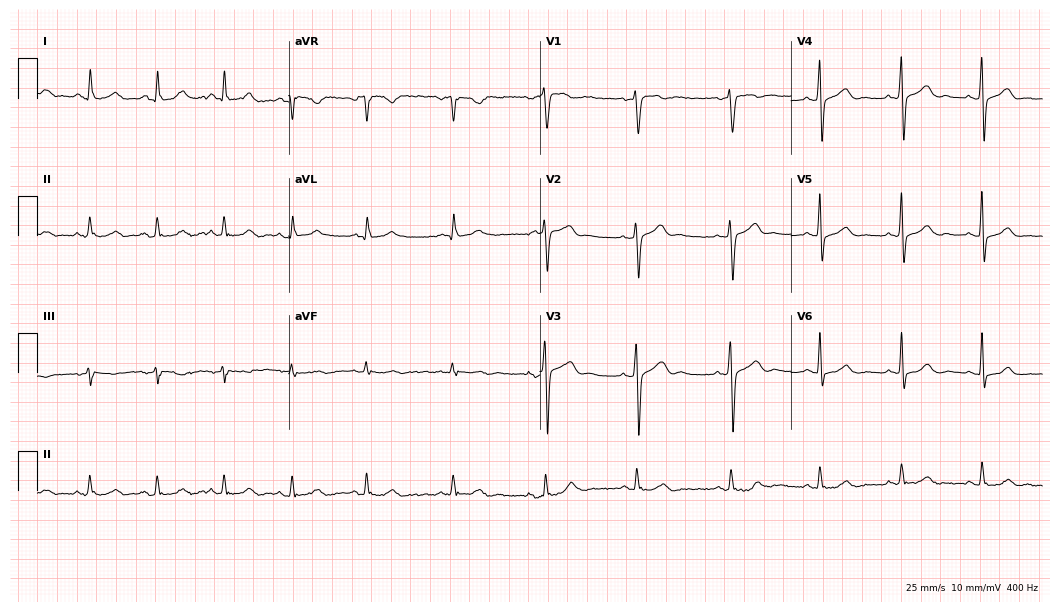
12-lead ECG from a 47-year-old male. Labelled as a normal ECG.